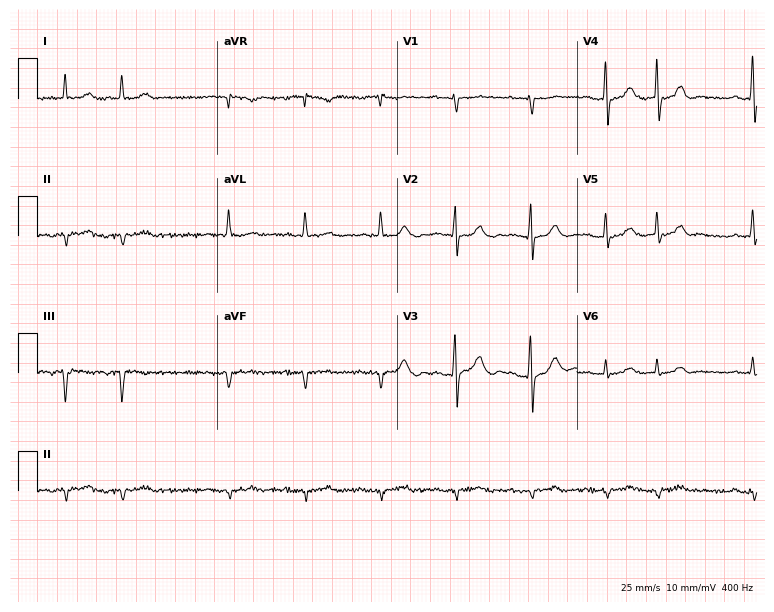
12-lead ECG from a male patient, 83 years old. No first-degree AV block, right bundle branch block, left bundle branch block, sinus bradycardia, atrial fibrillation or sinus tachycardia recorded for this tracing. Only these six findings were labelled.